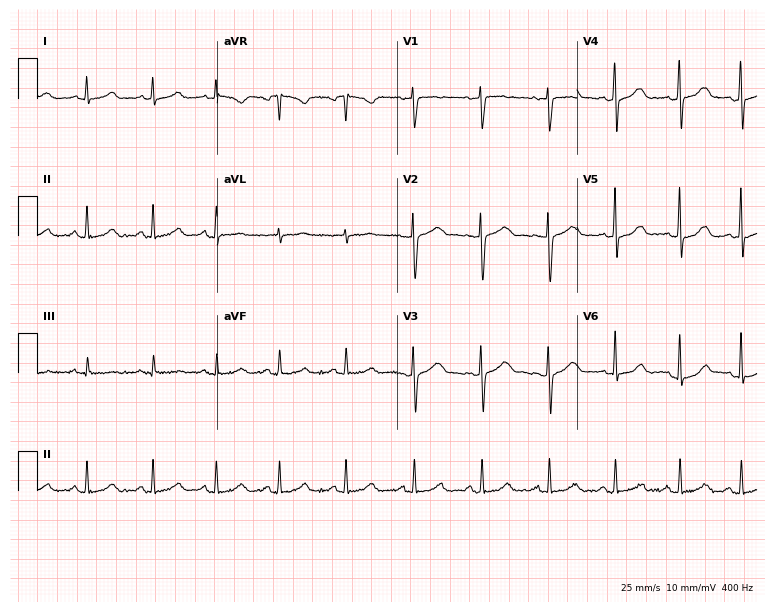
Standard 12-lead ECG recorded from a 40-year-old woman. None of these six findings is recorded: first-degree AV block, right bundle branch block, left bundle branch block, sinus bradycardia, atrial fibrillation, sinus tachycardia. Findings outside these six are not listed.